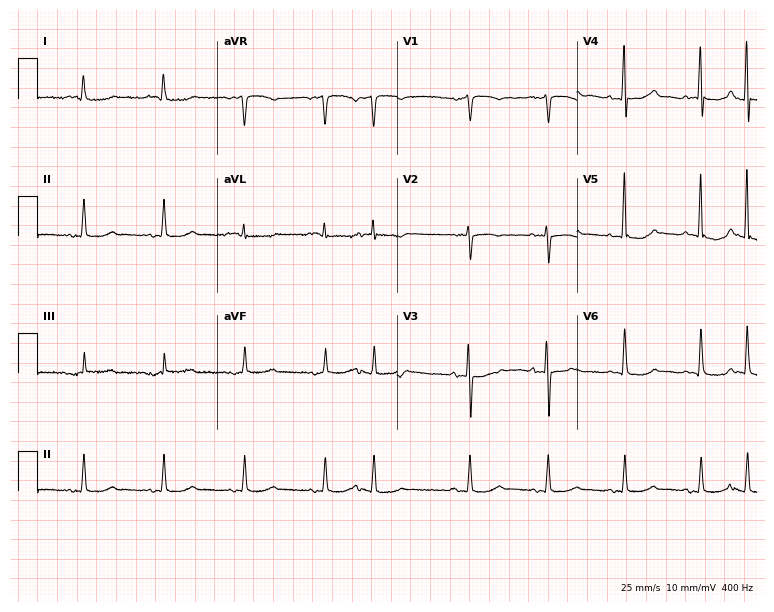
ECG — a female patient, 68 years old. Screened for six findings — first-degree AV block, right bundle branch block, left bundle branch block, sinus bradycardia, atrial fibrillation, sinus tachycardia — none is recorded. Findings outside these six are not listed.